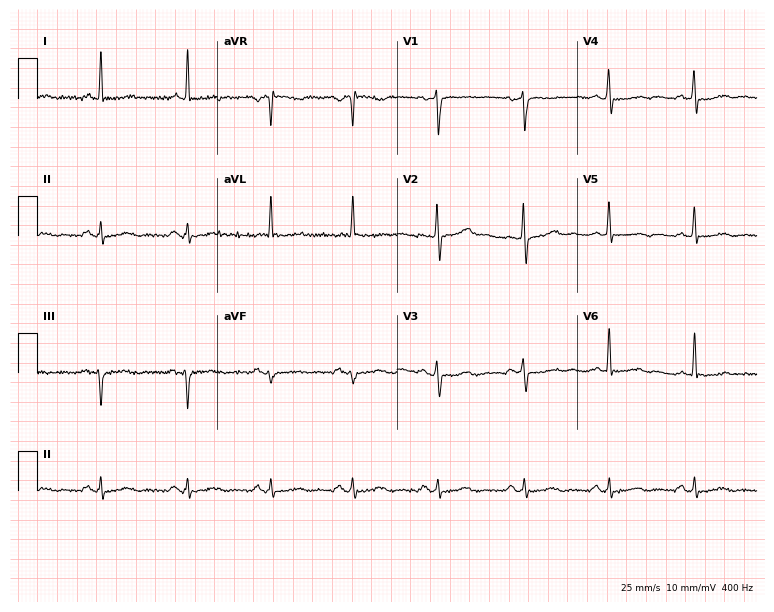
Resting 12-lead electrocardiogram (7.3-second recording at 400 Hz). Patient: a 60-year-old female. None of these six findings is recorded: first-degree AV block, right bundle branch block, left bundle branch block, sinus bradycardia, atrial fibrillation, sinus tachycardia.